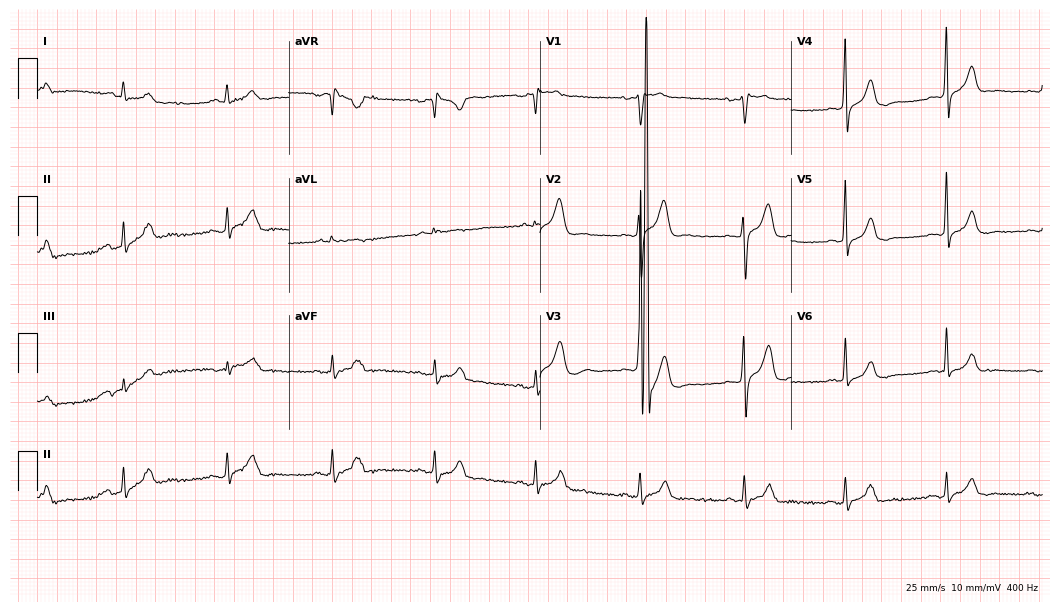
Electrocardiogram, a 46-year-old male patient. Of the six screened findings (first-degree AV block, right bundle branch block, left bundle branch block, sinus bradycardia, atrial fibrillation, sinus tachycardia), none is recorded.